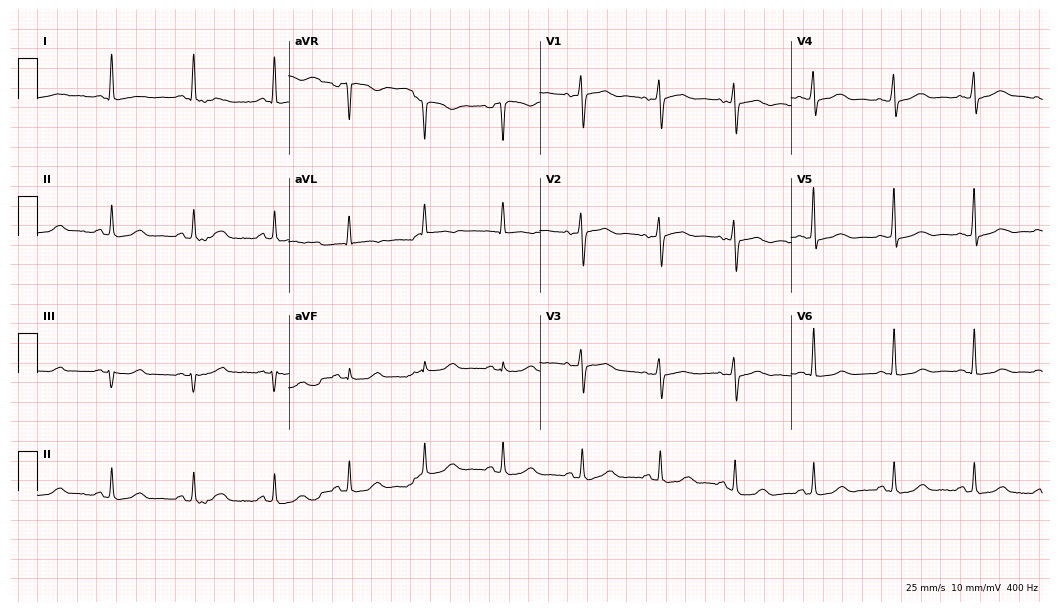
Resting 12-lead electrocardiogram. Patient: a female, 41 years old. Read as a normal ECG.